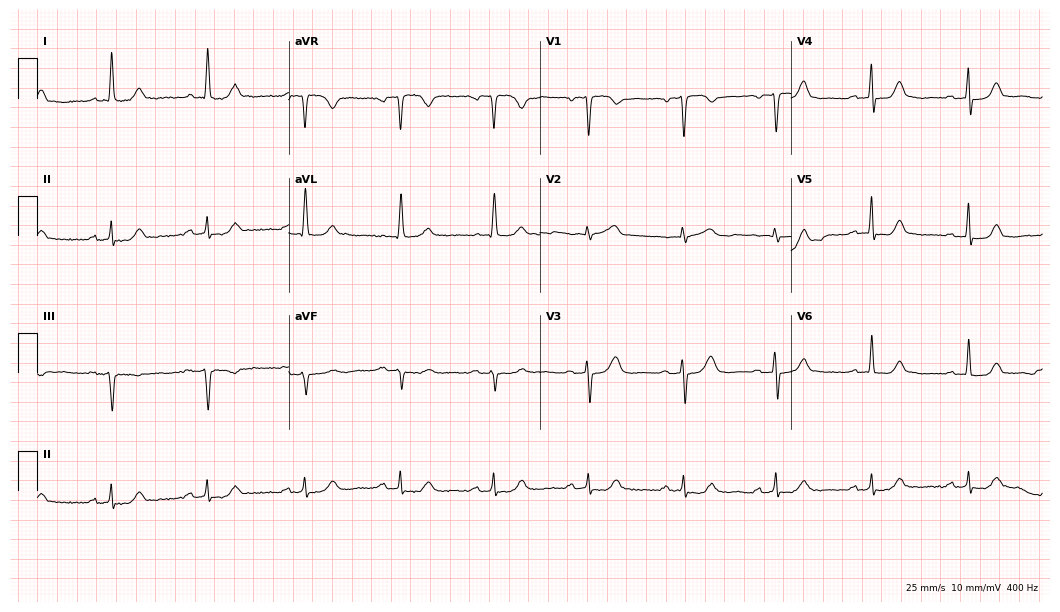
12-lead ECG from a female patient, 75 years old. Recorded interpretation: within normal limits.